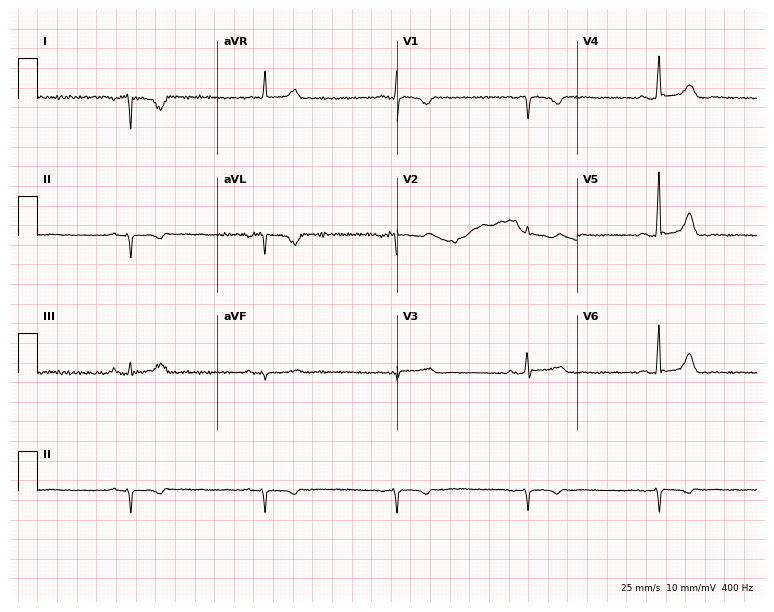
12-lead ECG from a 67-year-old female patient (7.3-second recording at 400 Hz). No first-degree AV block, right bundle branch block, left bundle branch block, sinus bradycardia, atrial fibrillation or sinus tachycardia recorded for this tracing. Only these six findings were labelled.